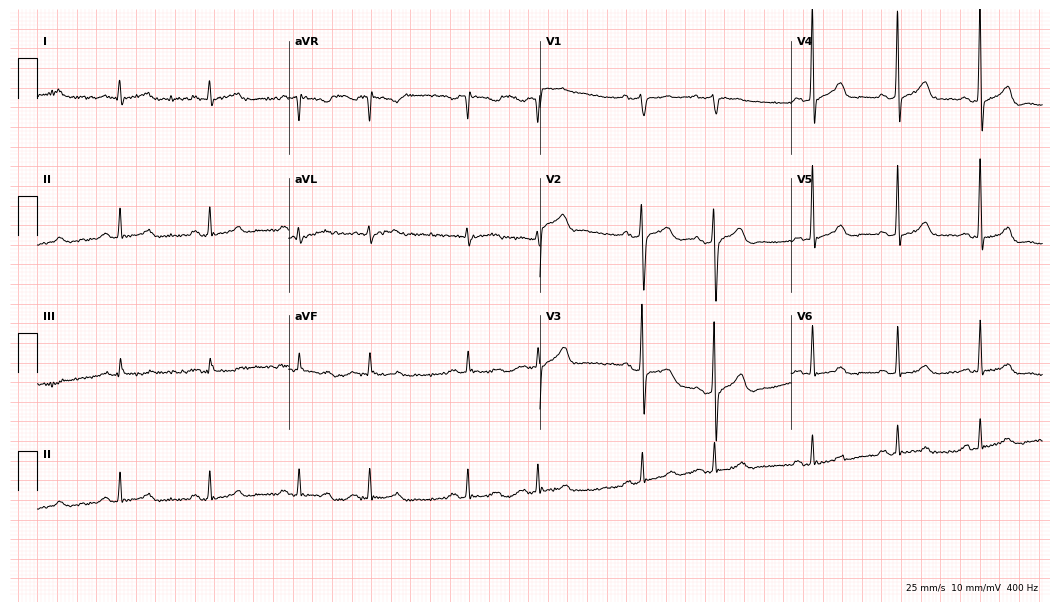
Resting 12-lead electrocardiogram (10.2-second recording at 400 Hz). Patient: a 51-year-old man. None of these six findings is recorded: first-degree AV block, right bundle branch block, left bundle branch block, sinus bradycardia, atrial fibrillation, sinus tachycardia.